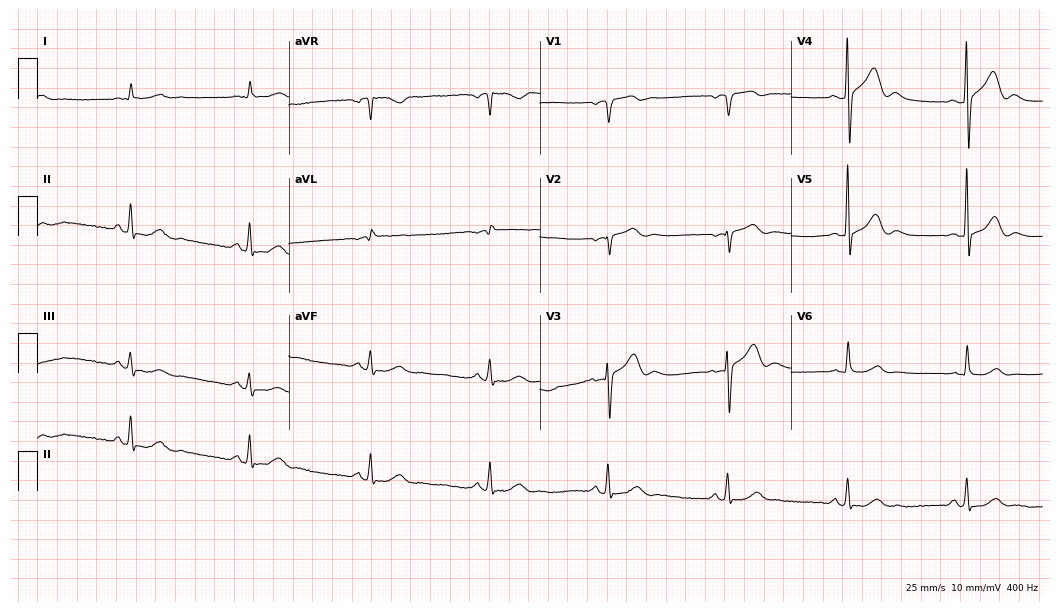
12-lead ECG from a 70-year-old male. Labelled as a normal ECG.